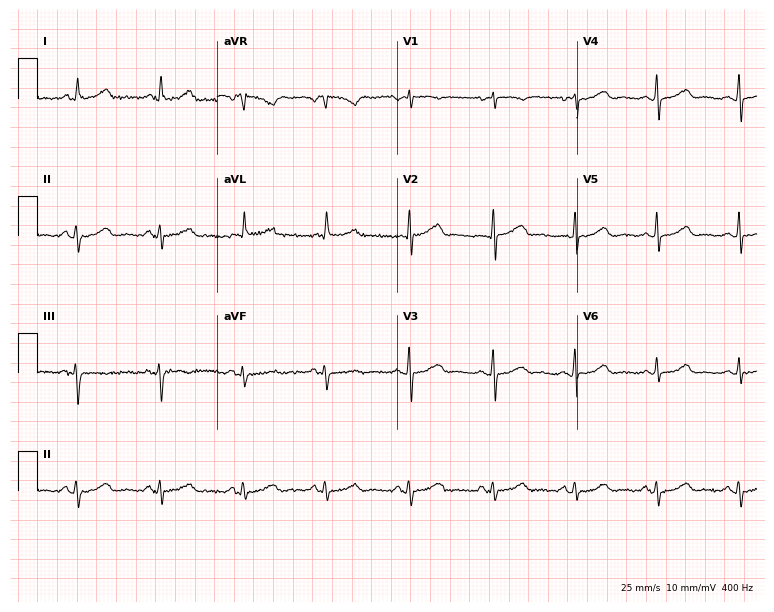
Standard 12-lead ECG recorded from a 78-year-old female (7.3-second recording at 400 Hz). Read as a normal ECG.